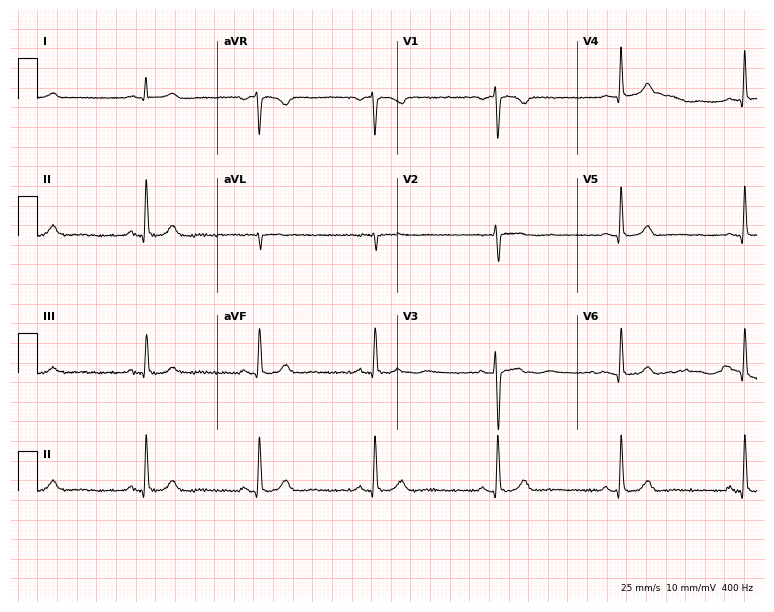
Electrocardiogram, a woman, 27 years old. Of the six screened findings (first-degree AV block, right bundle branch block, left bundle branch block, sinus bradycardia, atrial fibrillation, sinus tachycardia), none is recorded. Only these six findings were labelled.